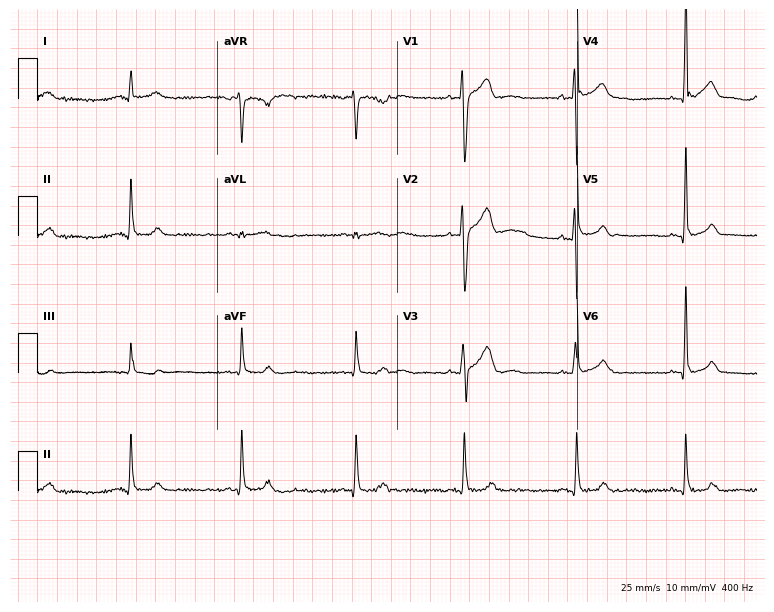
ECG (7.3-second recording at 400 Hz) — a 28-year-old male. Labelled as a normal ECG.